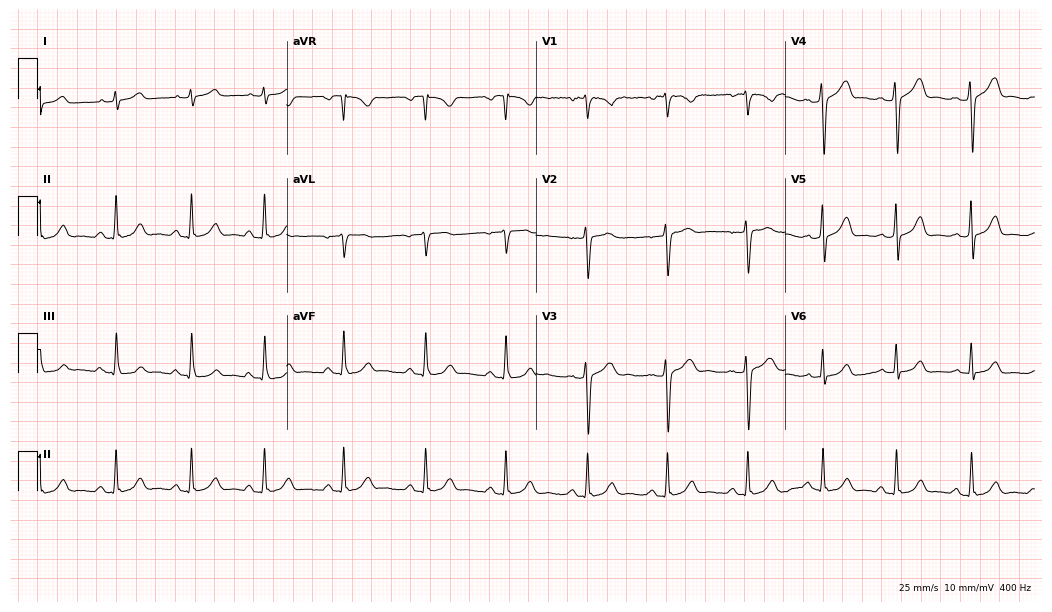
Resting 12-lead electrocardiogram (10.2-second recording at 400 Hz). Patient: a 32-year-old woman. Read as a normal ECG.